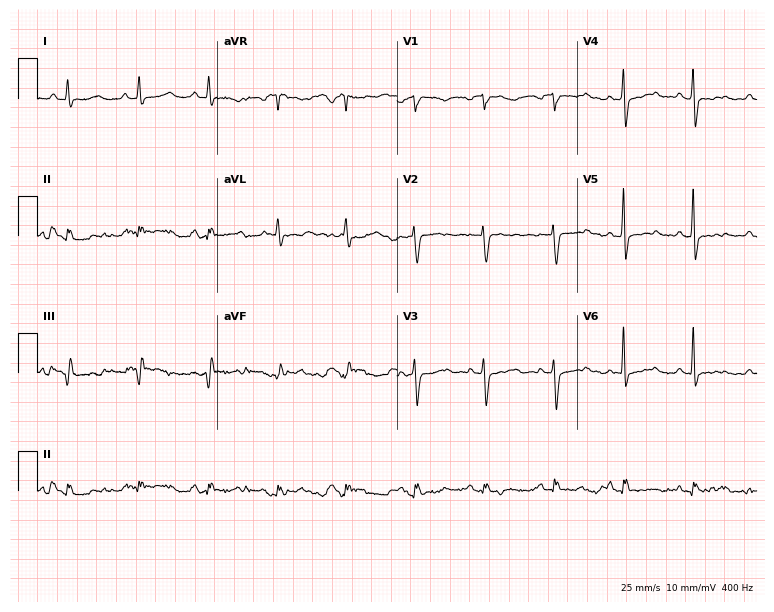
Electrocardiogram, a 66-year-old female patient. Of the six screened findings (first-degree AV block, right bundle branch block, left bundle branch block, sinus bradycardia, atrial fibrillation, sinus tachycardia), none is recorded. Findings outside these six are not listed.